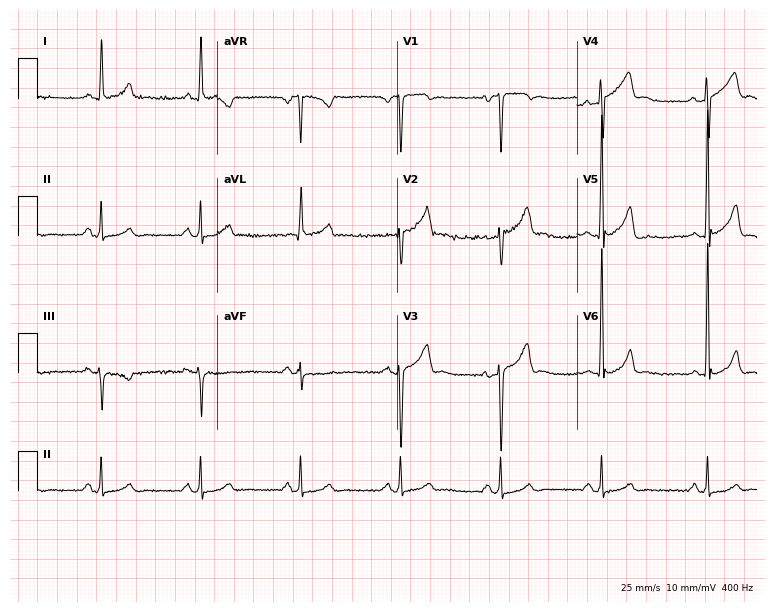
12-lead ECG (7.3-second recording at 400 Hz) from a male patient, 55 years old. Labelled as a normal ECG.